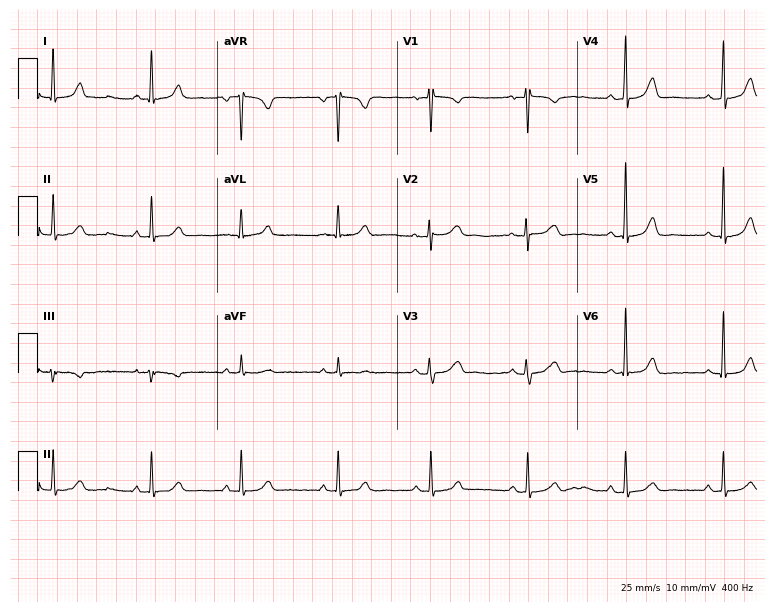
12-lead ECG (7.3-second recording at 400 Hz) from a 40-year-old female. Labelled as a normal ECG.